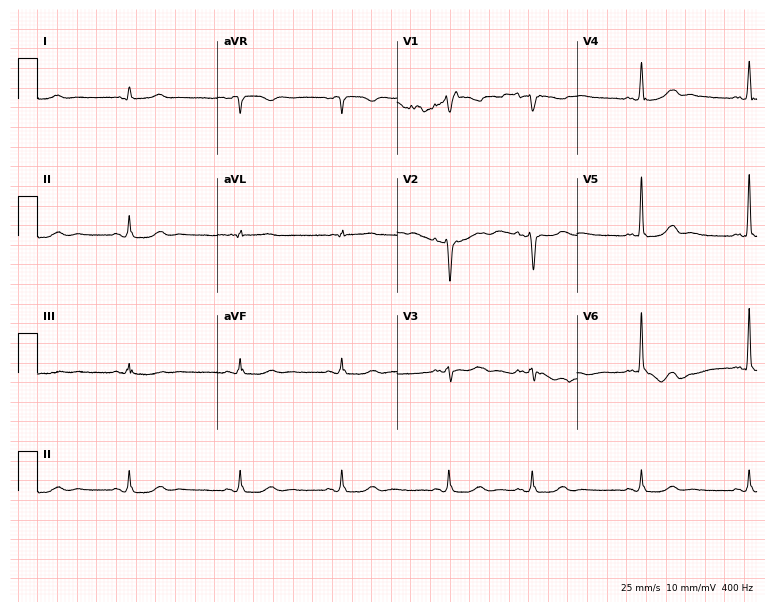
Electrocardiogram, a 63-year-old woman. Overall reading on record: normal ECG.